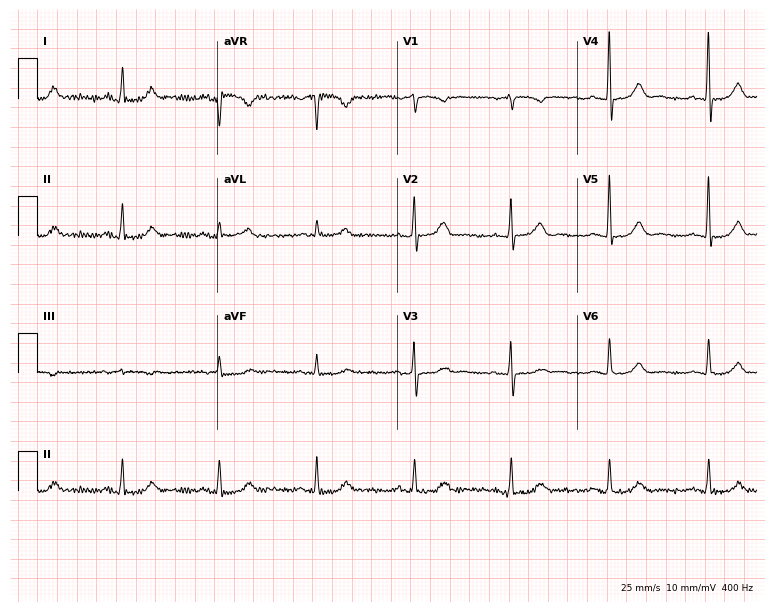
12-lead ECG from a female patient, 77 years old (7.3-second recording at 400 Hz). Recorded interpretation: within normal limits.